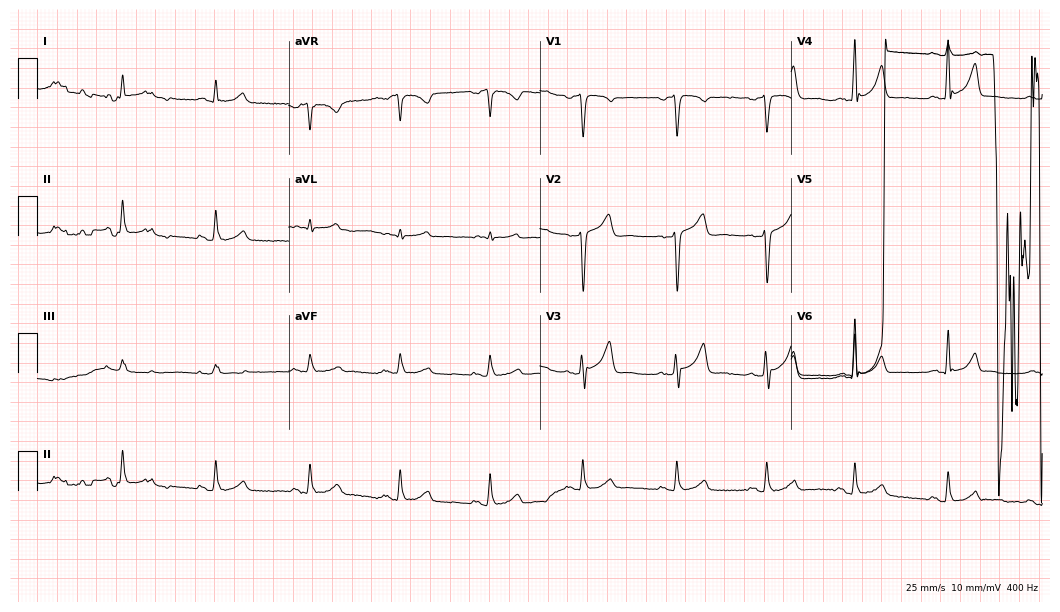
ECG — a male patient, 46 years old. Labelled as a normal ECG.